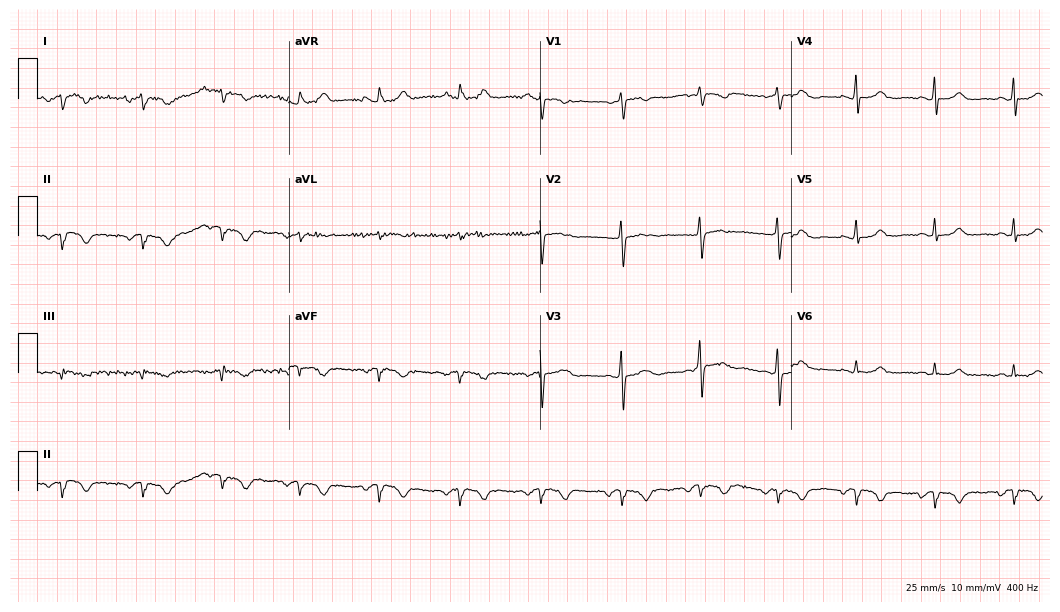
Electrocardiogram (10.2-second recording at 400 Hz), a woman, 55 years old. Of the six screened findings (first-degree AV block, right bundle branch block, left bundle branch block, sinus bradycardia, atrial fibrillation, sinus tachycardia), none is recorded.